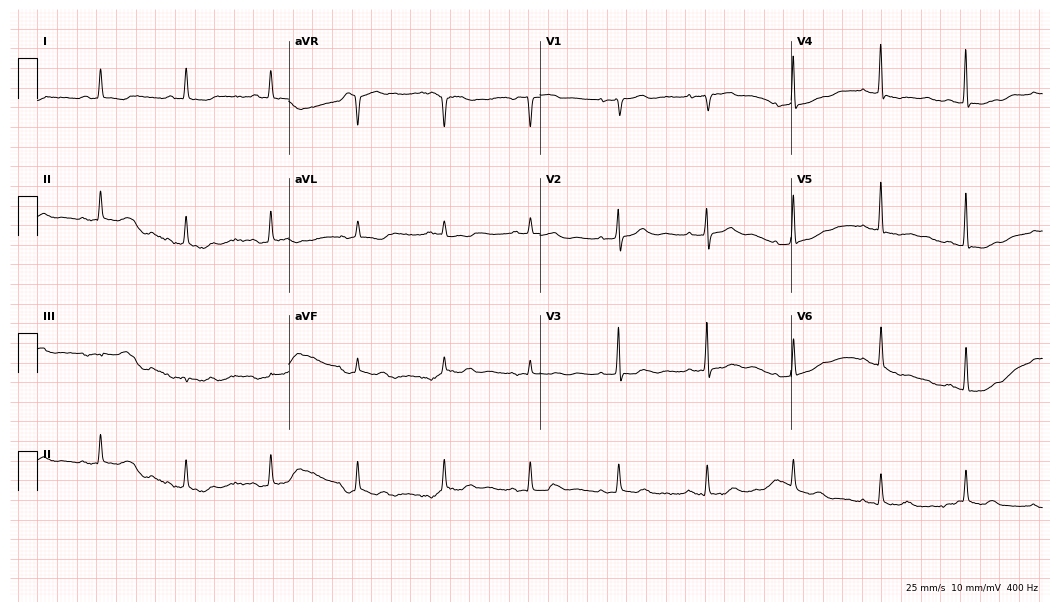
ECG — a female patient, 84 years old. Screened for six findings — first-degree AV block, right bundle branch block, left bundle branch block, sinus bradycardia, atrial fibrillation, sinus tachycardia — none is recorded.